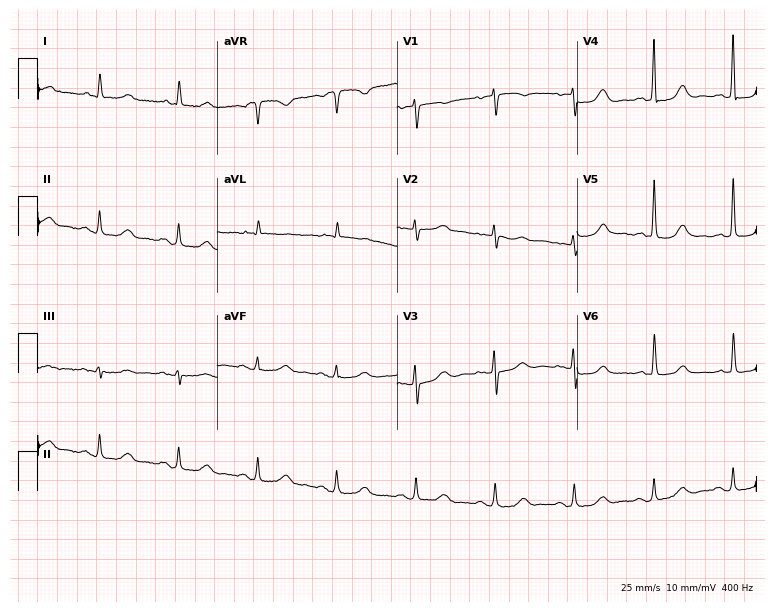
ECG — an 82-year-old woman. Screened for six findings — first-degree AV block, right bundle branch block (RBBB), left bundle branch block (LBBB), sinus bradycardia, atrial fibrillation (AF), sinus tachycardia — none is recorded. Other findings, if any, are not listed.